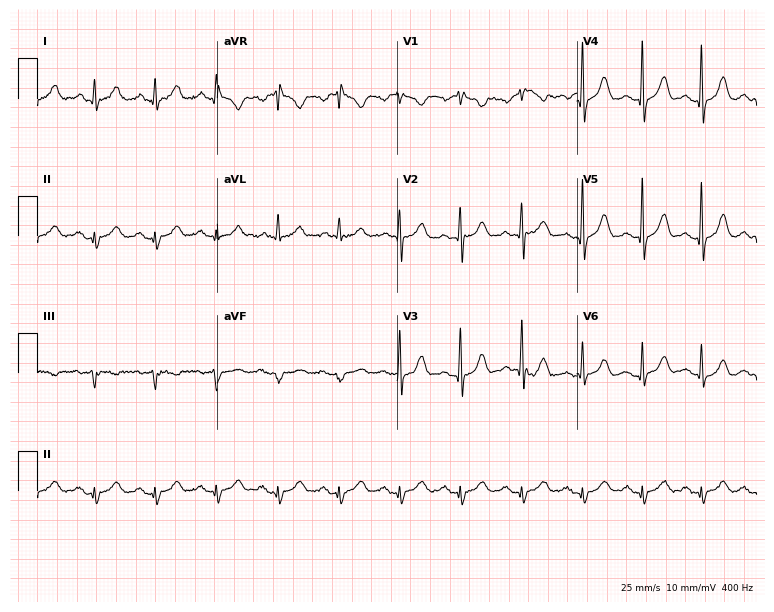
Standard 12-lead ECG recorded from a 67-year-old man. Read as a normal ECG.